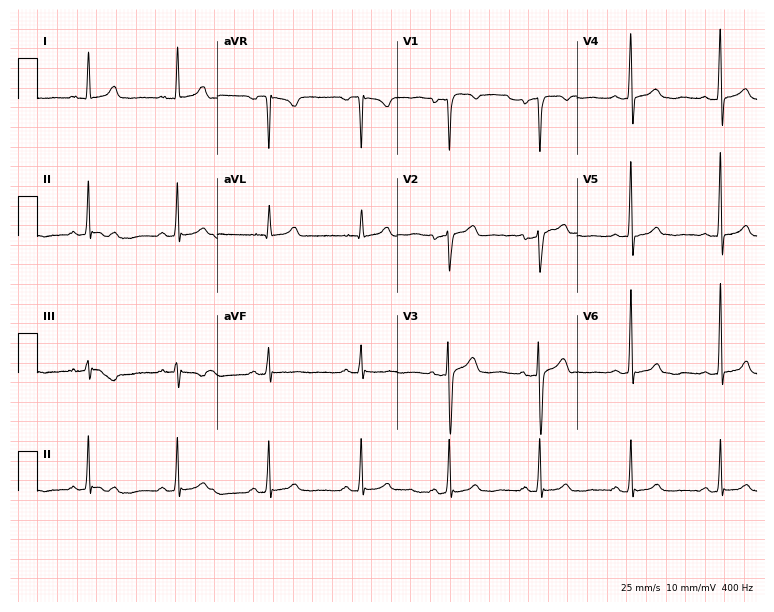
Resting 12-lead electrocardiogram (7.3-second recording at 400 Hz). Patient: a 44-year-old woman. None of these six findings is recorded: first-degree AV block, right bundle branch block, left bundle branch block, sinus bradycardia, atrial fibrillation, sinus tachycardia.